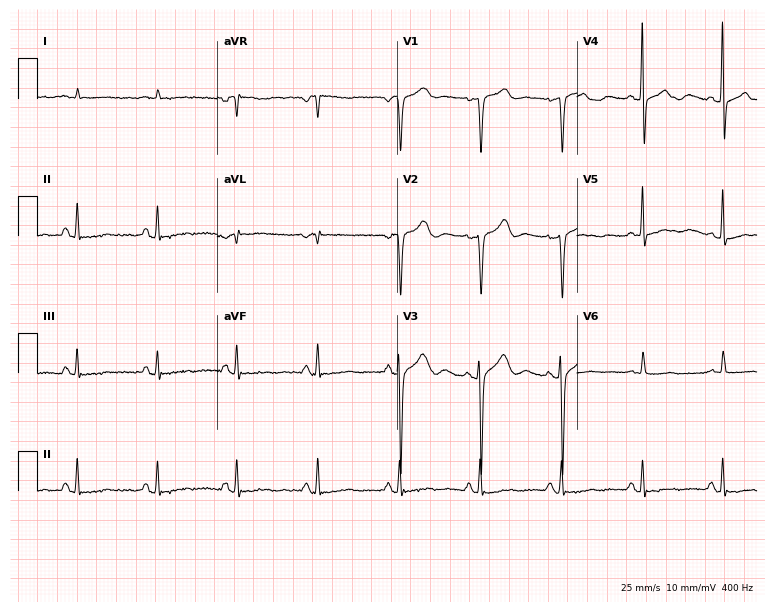
Standard 12-lead ECG recorded from an 81-year-old female patient (7.3-second recording at 400 Hz). None of these six findings is recorded: first-degree AV block, right bundle branch block (RBBB), left bundle branch block (LBBB), sinus bradycardia, atrial fibrillation (AF), sinus tachycardia.